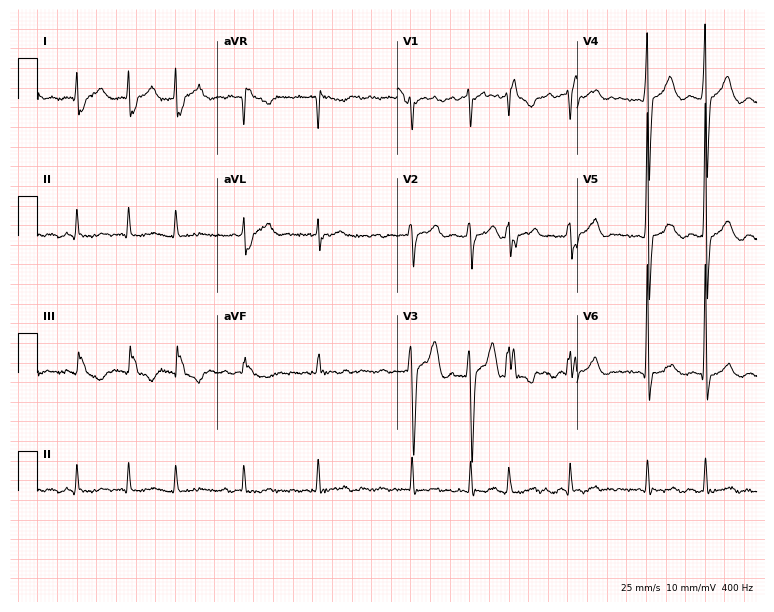
Resting 12-lead electrocardiogram. Patient: a 71-year-old male. The tracing shows atrial fibrillation.